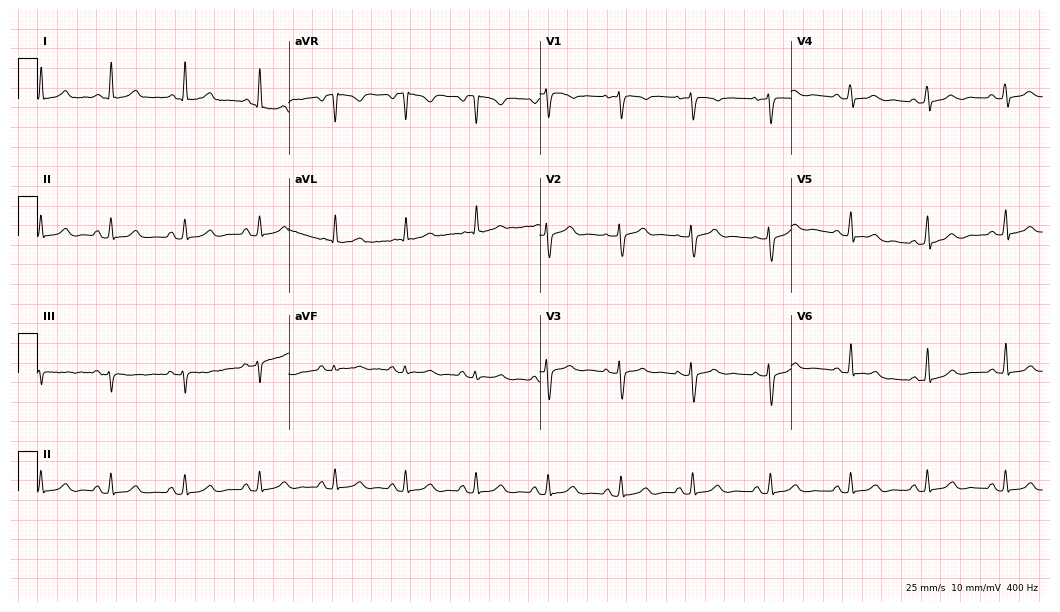
Electrocardiogram, a 36-year-old female patient. Overall reading on record: normal ECG.